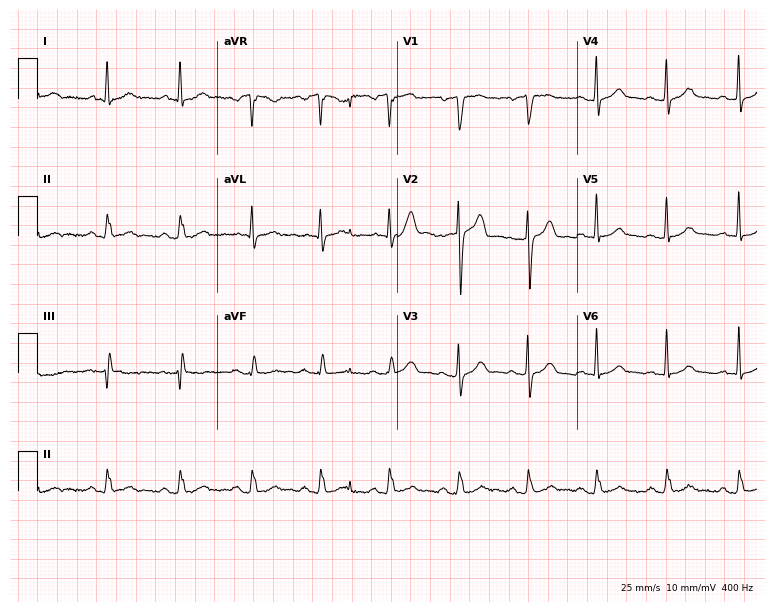
Resting 12-lead electrocardiogram. Patient: a male, 36 years old. None of these six findings is recorded: first-degree AV block, right bundle branch block, left bundle branch block, sinus bradycardia, atrial fibrillation, sinus tachycardia.